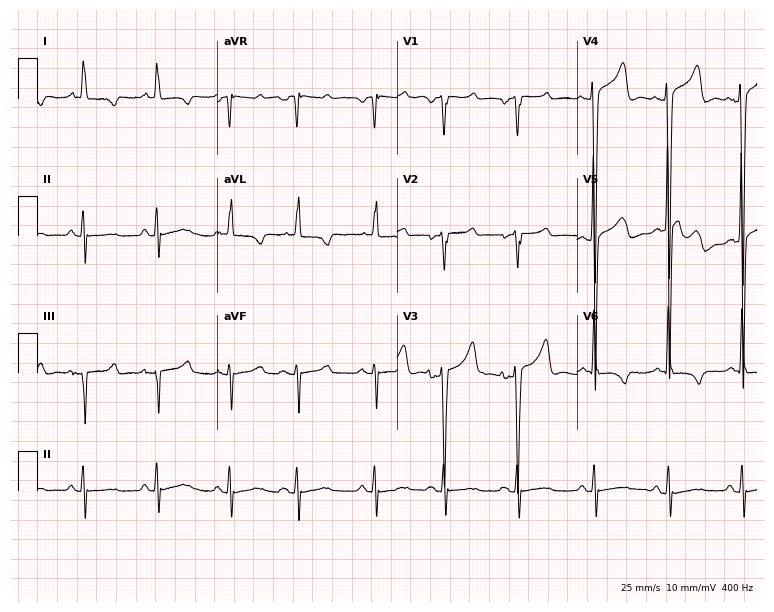
ECG (7.3-second recording at 400 Hz) — a male patient, 55 years old. Screened for six findings — first-degree AV block, right bundle branch block, left bundle branch block, sinus bradycardia, atrial fibrillation, sinus tachycardia — none is recorded. Other findings, if any, are not listed.